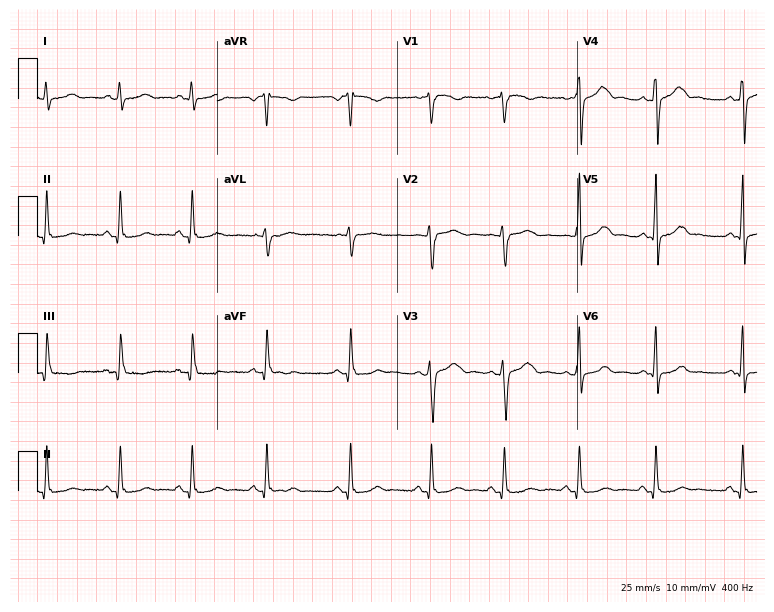
Resting 12-lead electrocardiogram (7.3-second recording at 400 Hz). Patient: a female, 30 years old. None of these six findings is recorded: first-degree AV block, right bundle branch block, left bundle branch block, sinus bradycardia, atrial fibrillation, sinus tachycardia. Other findings, if any, are not listed.